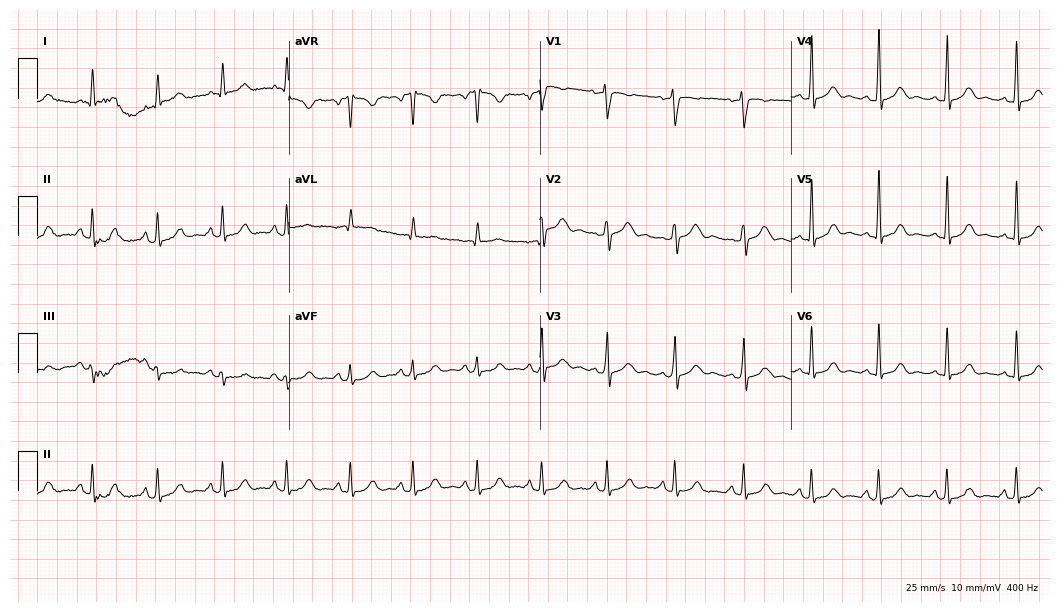
12-lead ECG from a 53-year-old female patient (10.2-second recording at 400 Hz). Recorded interpretation: within normal limits.